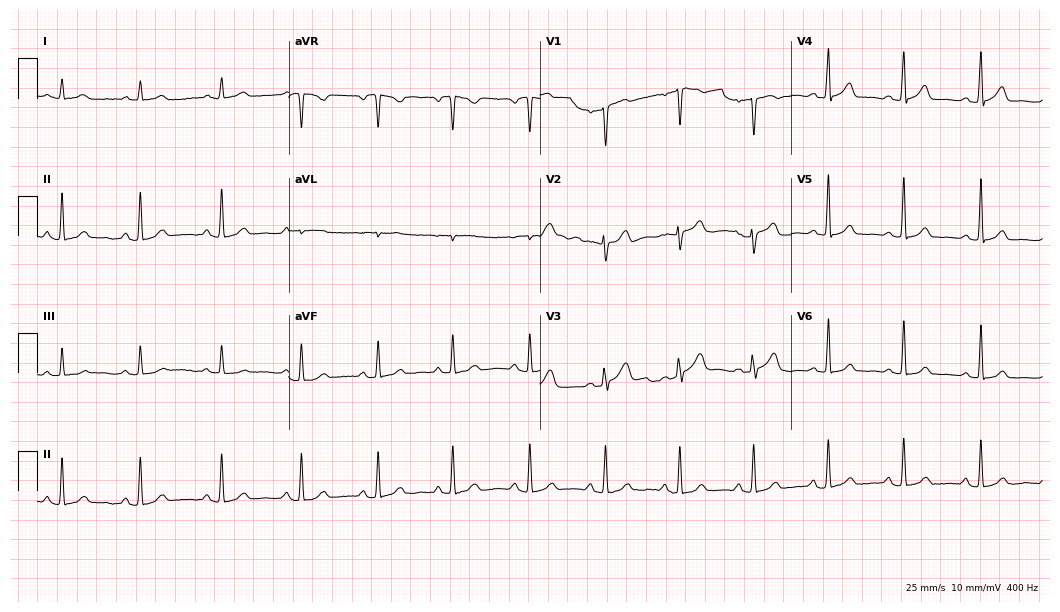
12-lead ECG from a woman, 50 years old. Recorded interpretation: within normal limits.